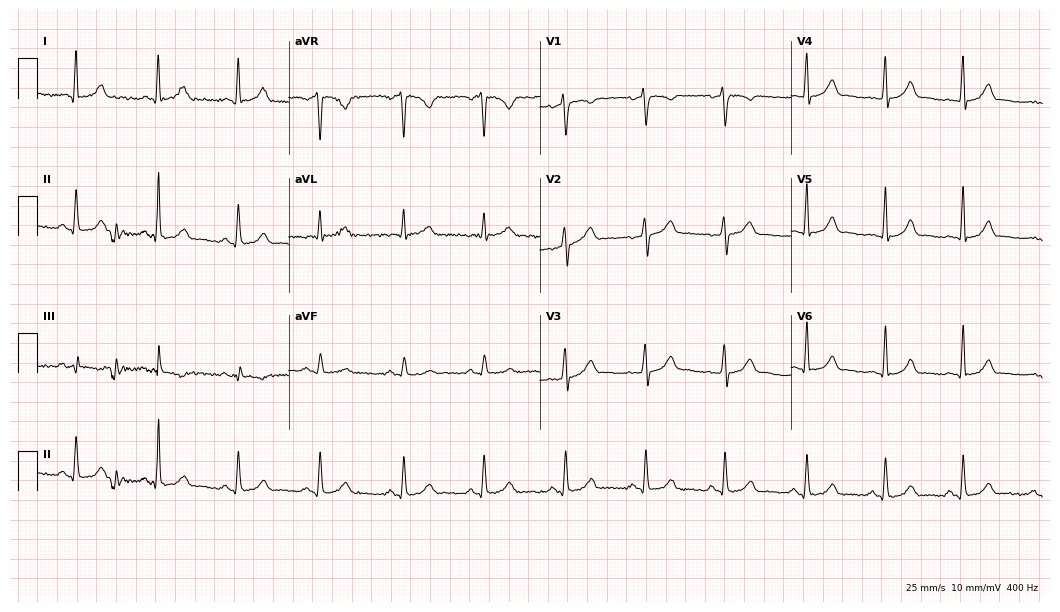
12-lead ECG from a 30-year-old woman. Recorded interpretation: within normal limits.